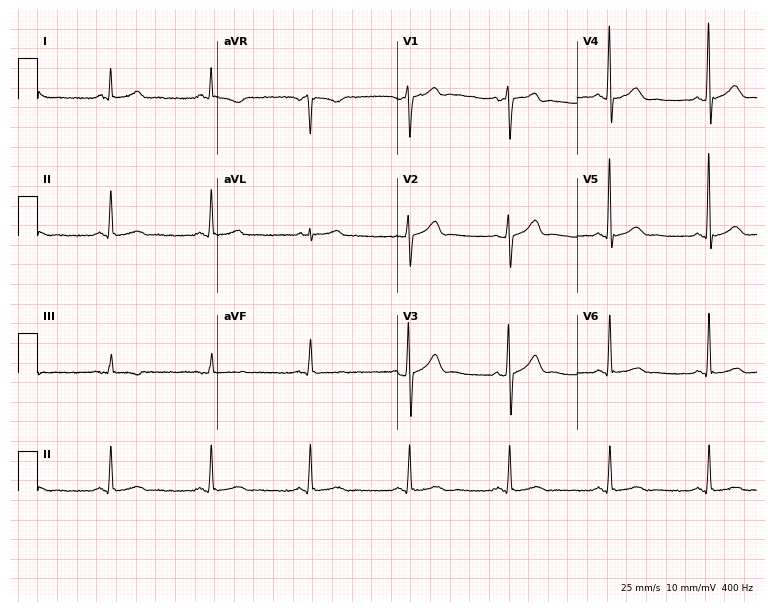
12-lead ECG from a male patient, 52 years old. Recorded interpretation: within normal limits.